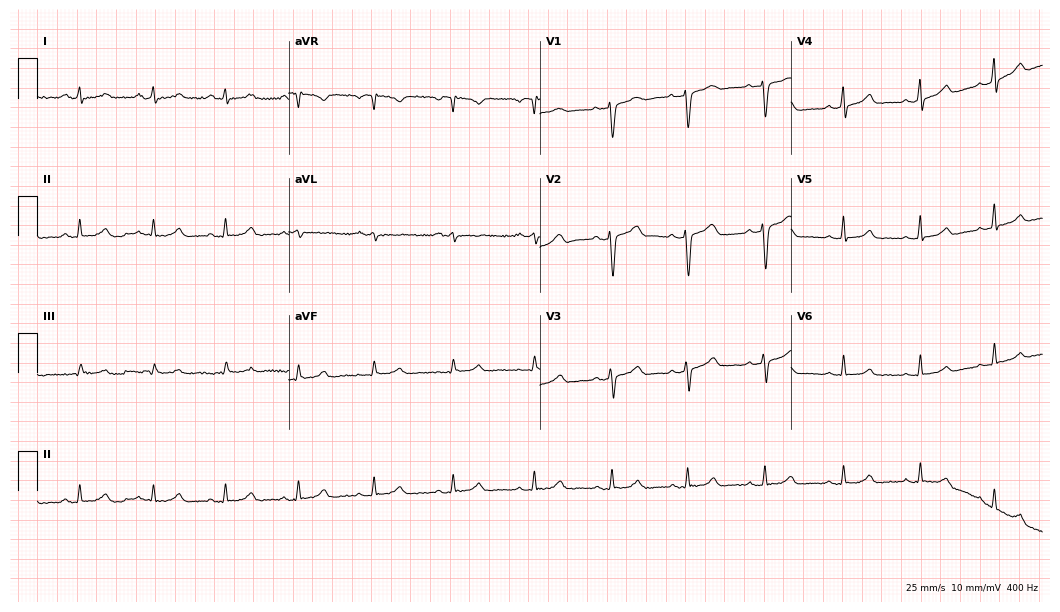
Standard 12-lead ECG recorded from a 33-year-old female patient. Read as a normal ECG.